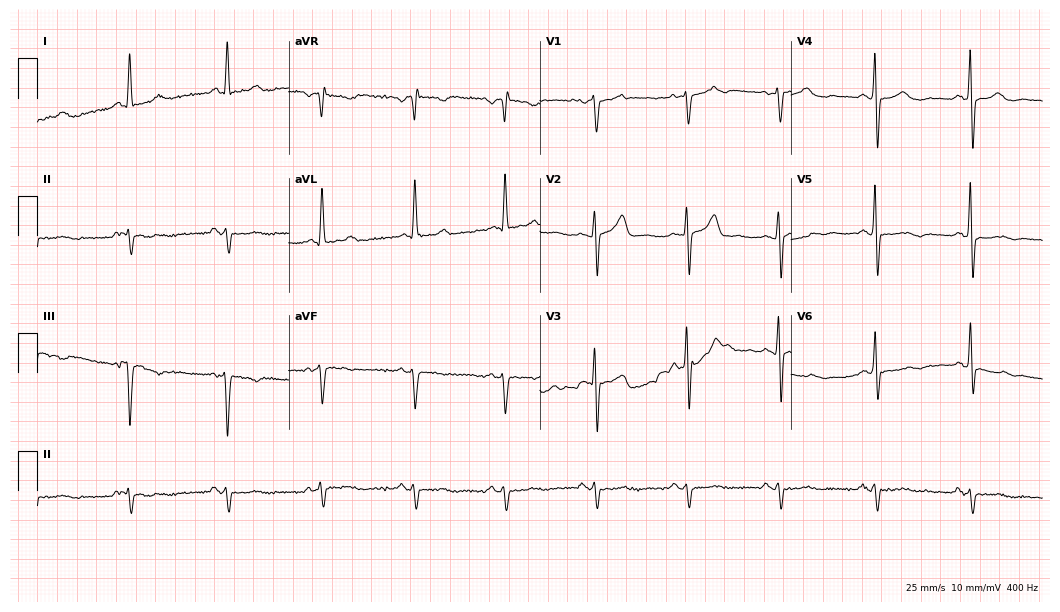
Electrocardiogram, an 80-year-old male patient. Of the six screened findings (first-degree AV block, right bundle branch block, left bundle branch block, sinus bradycardia, atrial fibrillation, sinus tachycardia), none is recorded.